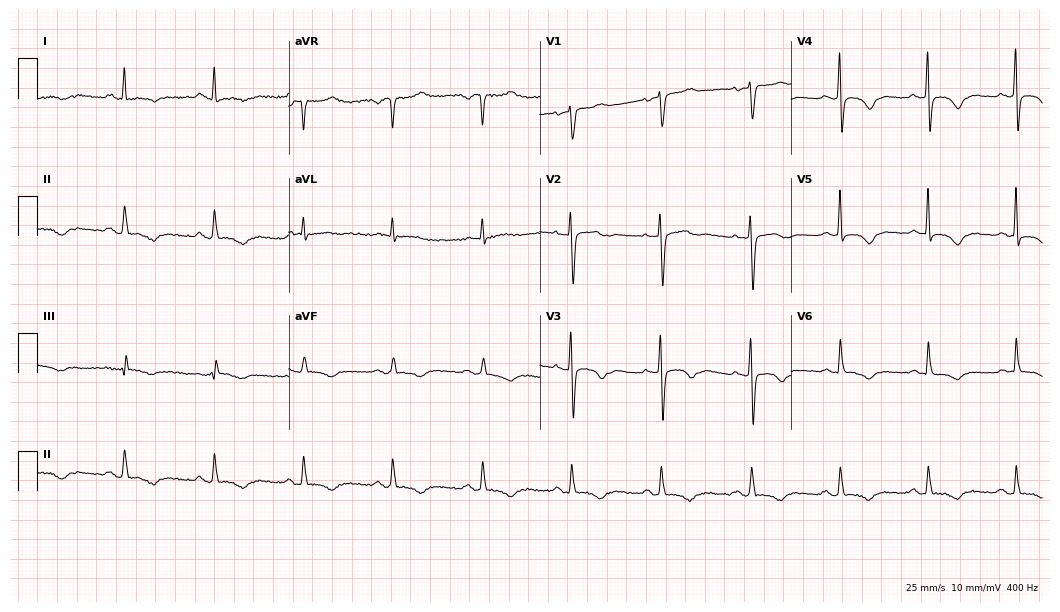
ECG (10.2-second recording at 400 Hz) — a 66-year-old woman. Screened for six findings — first-degree AV block, right bundle branch block (RBBB), left bundle branch block (LBBB), sinus bradycardia, atrial fibrillation (AF), sinus tachycardia — none is recorded.